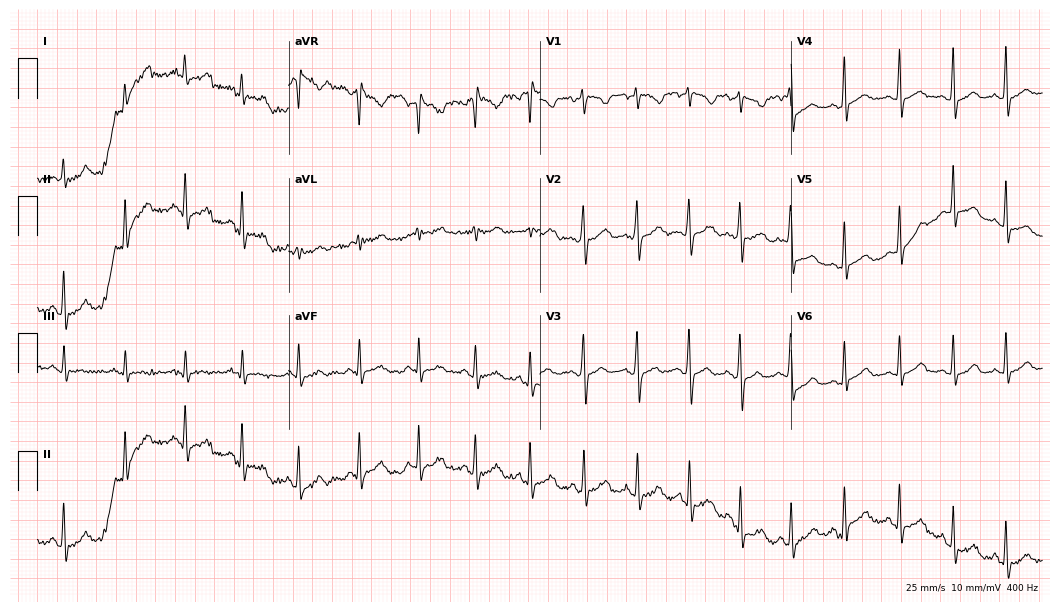
Standard 12-lead ECG recorded from a 19-year-old female (10.2-second recording at 400 Hz). None of these six findings is recorded: first-degree AV block, right bundle branch block (RBBB), left bundle branch block (LBBB), sinus bradycardia, atrial fibrillation (AF), sinus tachycardia.